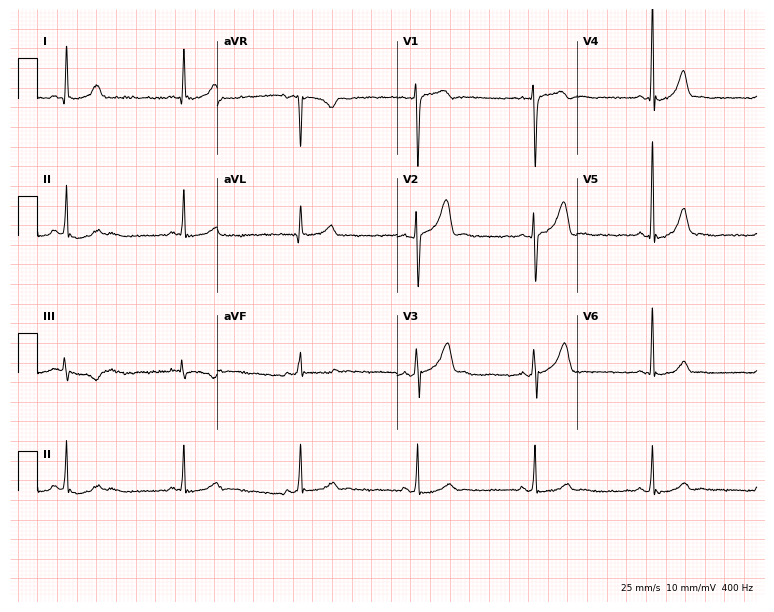
12-lead ECG from a male patient, 31 years old. Labelled as a normal ECG.